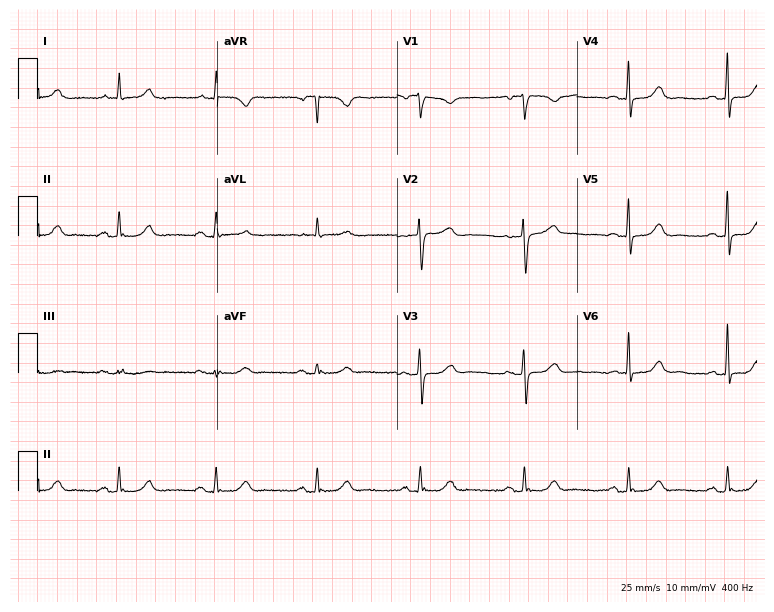
Electrocardiogram (7.3-second recording at 400 Hz), a female, 76 years old. Overall reading on record: normal ECG.